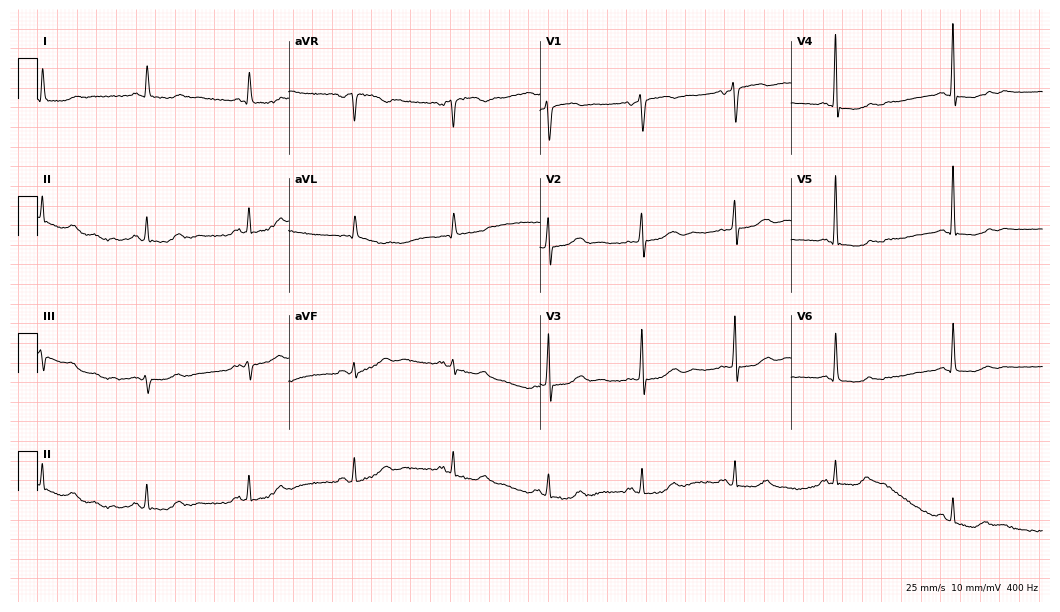
Electrocardiogram, a female, 59 years old. Of the six screened findings (first-degree AV block, right bundle branch block, left bundle branch block, sinus bradycardia, atrial fibrillation, sinus tachycardia), none is recorded.